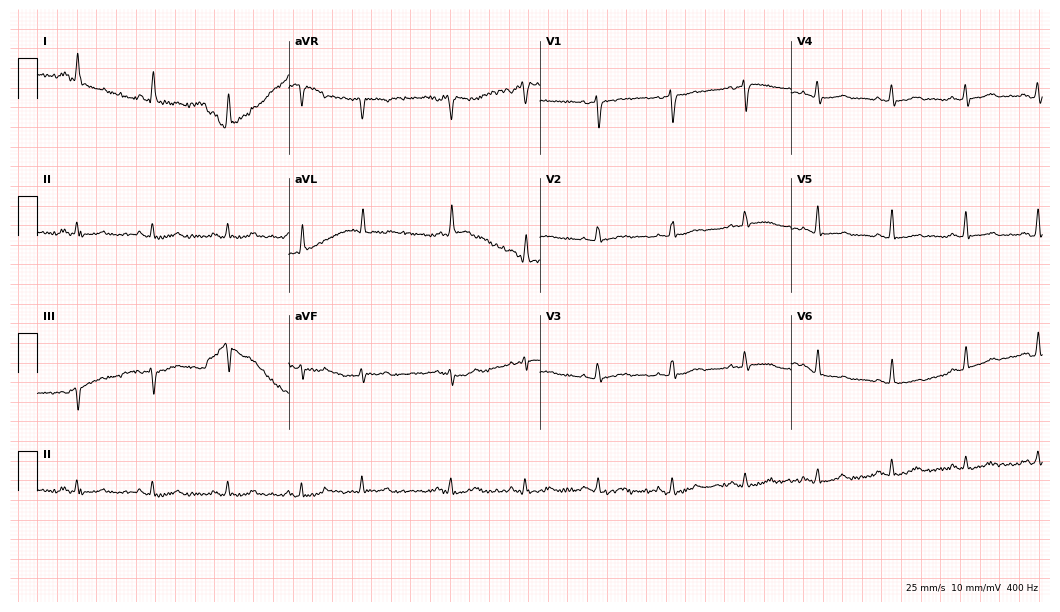
Standard 12-lead ECG recorded from a woman, 68 years old (10.2-second recording at 400 Hz). None of these six findings is recorded: first-degree AV block, right bundle branch block, left bundle branch block, sinus bradycardia, atrial fibrillation, sinus tachycardia. Findings outside these six are not listed.